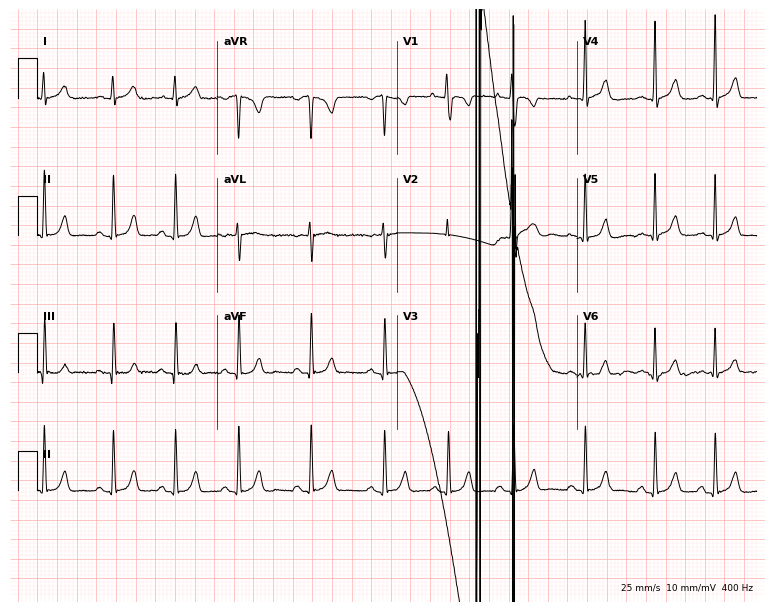
Standard 12-lead ECG recorded from a 17-year-old female patient. Read as a normal ECG.